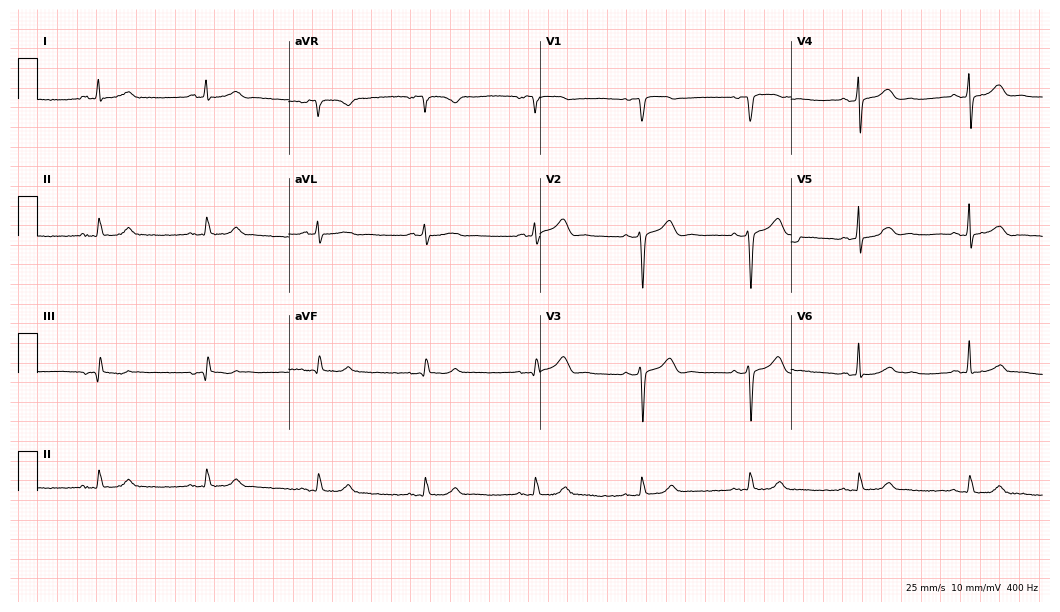
ECG (10.2-second recording at 400 Hz) — a female patient, 67 years old. Labelled as a normal ECG.